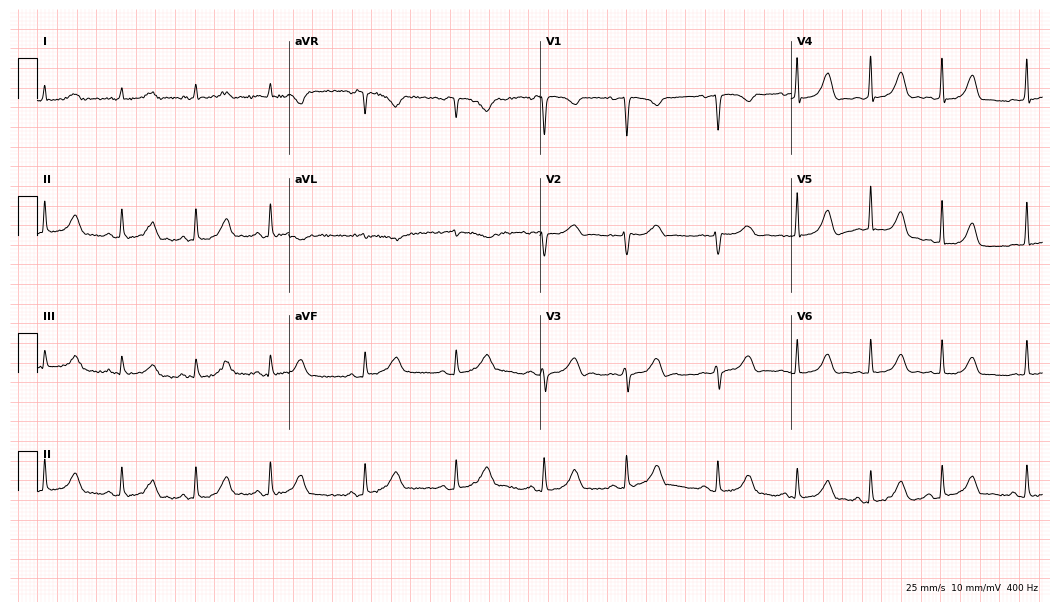
Electrocardiogram, a male, 44 years old. Of the six screened findings (first-degree AV block, right bundle branch block (RBBB), left bundle branch block (LBBB), sinus bradycardia, atrial fibrillation (AF), sinus tachycardia), none is recorded. Other findings, if any, are not listed.